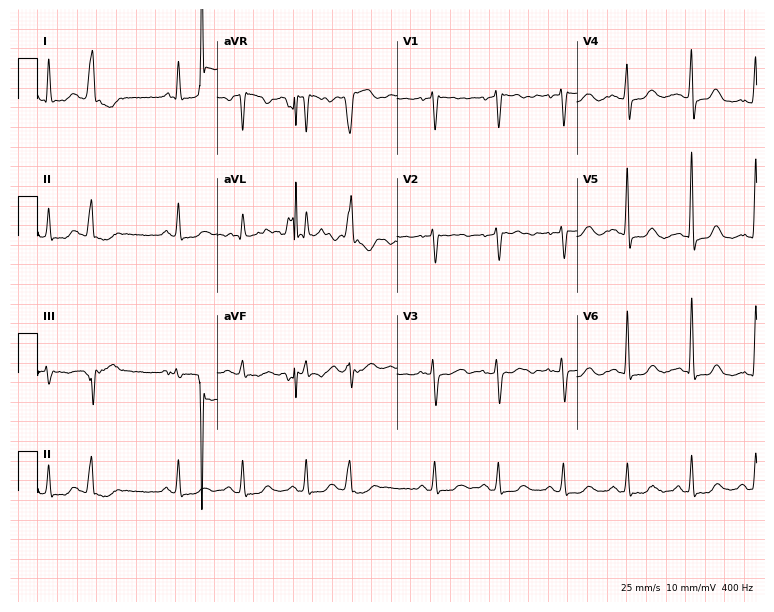
12-lead ECG (7.3-second recording at 400 Hz) from a female patient, 79 years old. Screened for six findings — first-degree AV block, right bundle branch block, left bundle branch block, sinus bradycardia, atrial fibrillation, sinus tachycardia — none is recorded. Other findings, if any, are not listed.